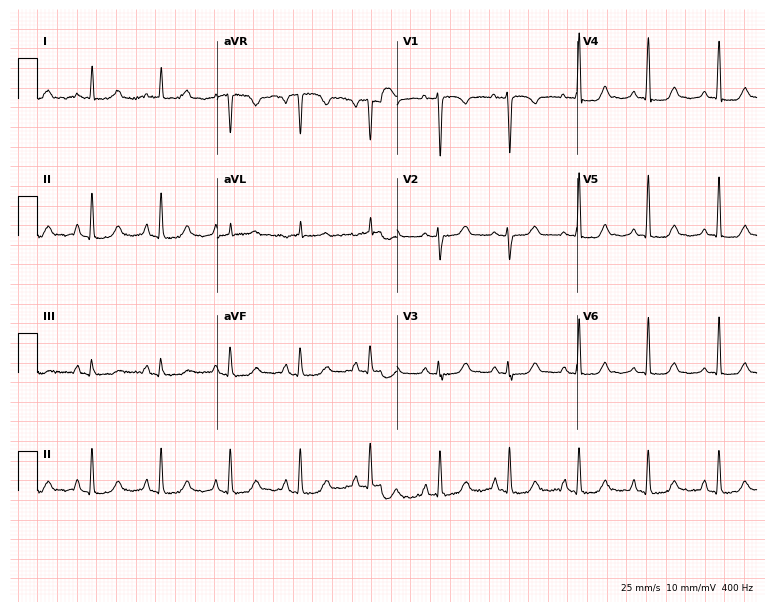
Electrocardiogram (7.3-second recording at 400 Hz), a 73-year-old female. Of the six screened findings (first-degree AV block, right bundle branch block (RBBB), left bundle branch block (LBBB), sinus bradycardia, atrial fibrillation (AF), sinus tachycardia), none is recorded.